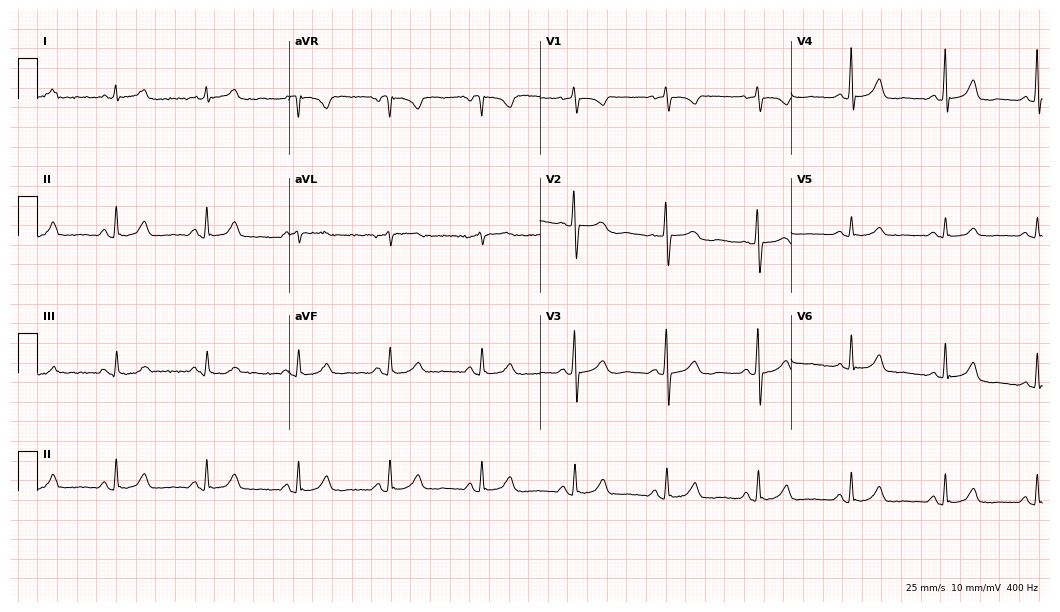
Electrocardiogram (10.2-second recording at 400 Hz), a female patient, 65 years old. Overall reading on record: normal ECG.